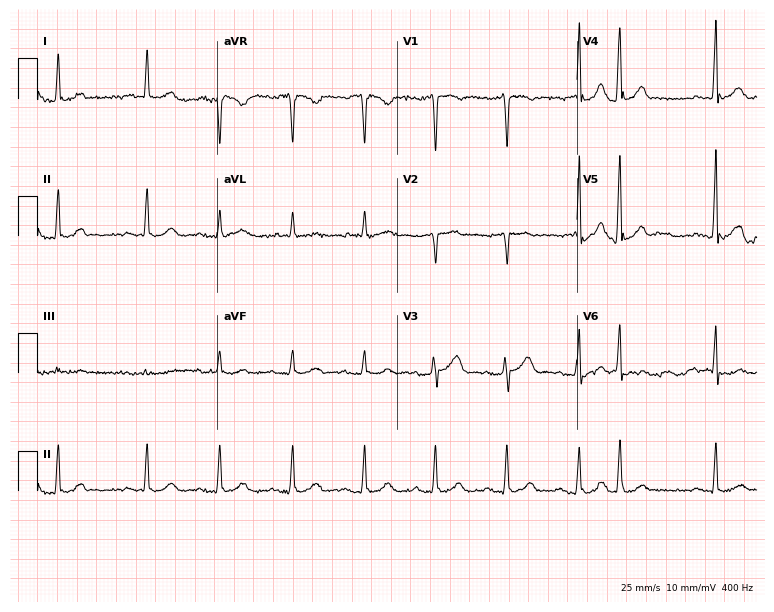
12-lead ECG from a 73-year-old male patient. Screened for six findings — first-degree AV block, right bundle branch block, left bundle branch block, sinus bradycardia, atrial fibrillation, sinus tachycardia — none is recorded.